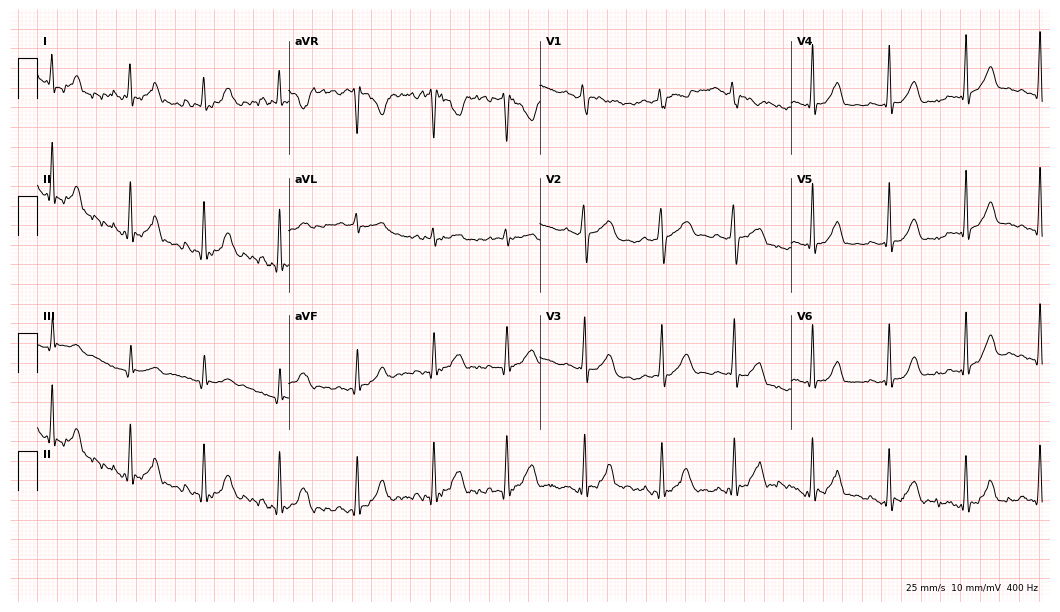
Electrocardiogram, a woman, 21 years old. Overall reading on record: normal ECG.